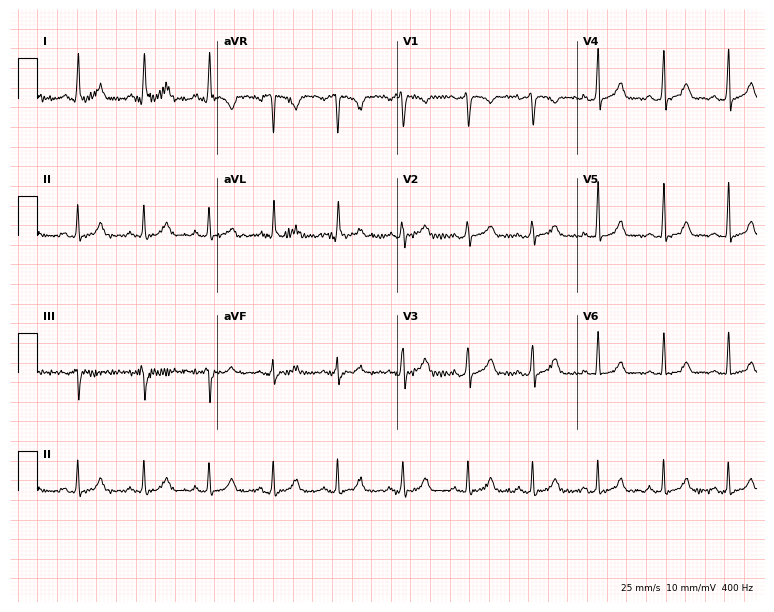
Standard 12-lead ECG recorded from a woman, 32 years old (7.3-second recording at 400 Hz). Read as a normal ECG.